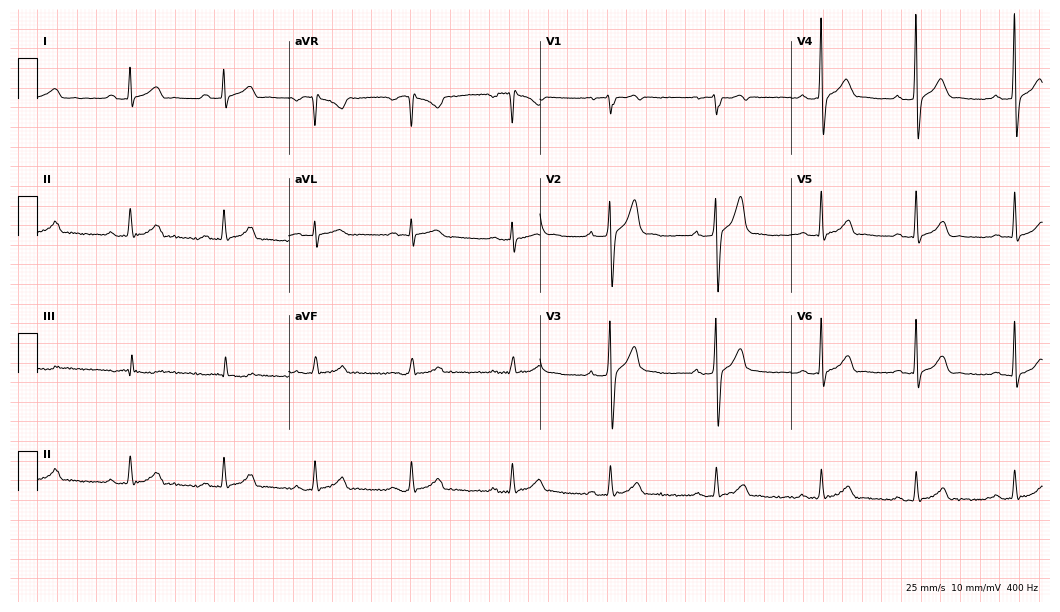
ECG (10.2-second recording at 400 Hz) — a 27-year-old male. Labelled as a normal ECG.